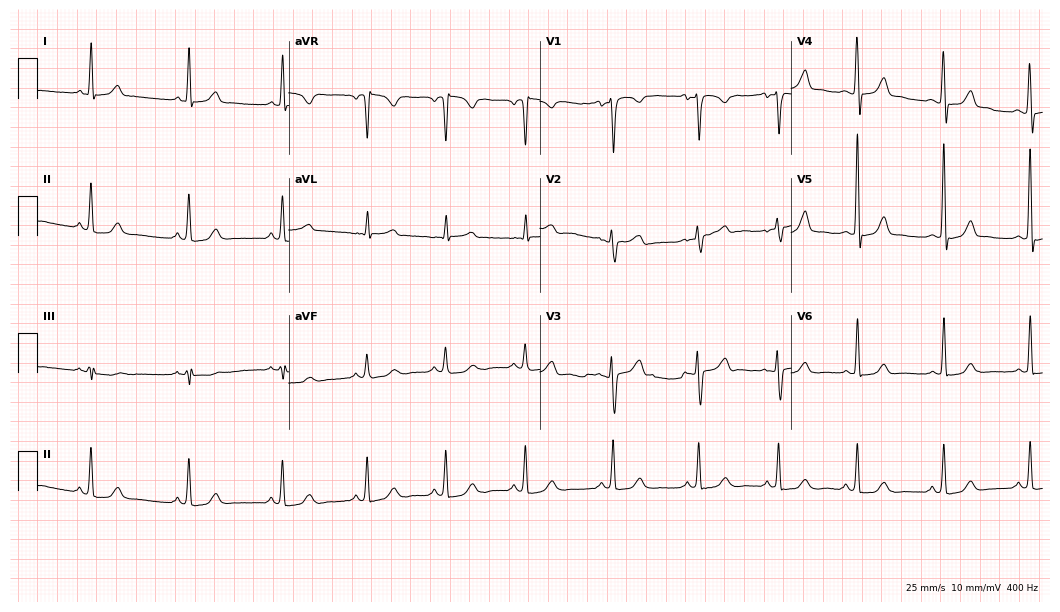
Electrocardiogram (10.2-second recording at 400 Hz), a 41-year-old woman. Of the six screened findings (first-degree AV block, right bundle branch block (RBBB), left bundle branch block (LBBB), sinus bradycardia, atrial fibrillation (AF), sinus tachycardia), none is recorded. Other findings, if any, are not listed.